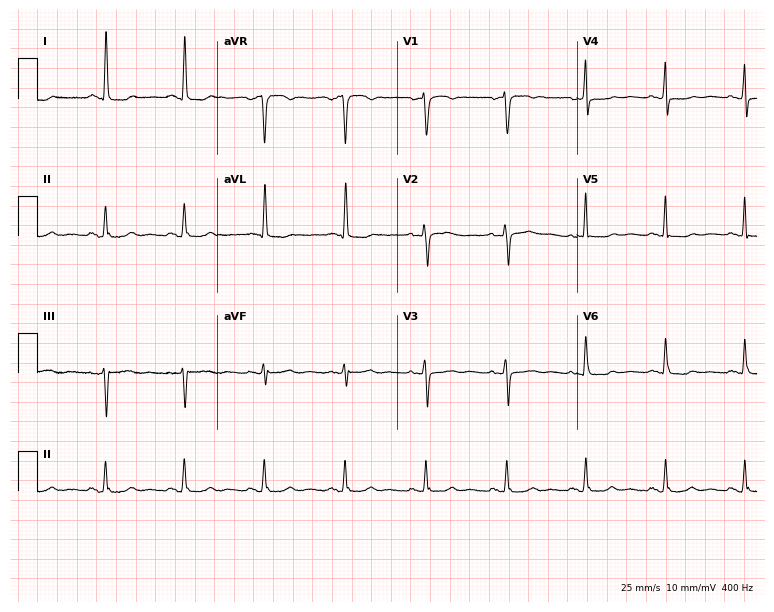
ECG — a 55-year-old female. Screened for six findings — first-degree AV block, right bundle branch block (RBBB), left bundle branch block (LBBB), sinus bradycardia, atrial fibrillation (AF), sinus tachycardia — none is recorded.